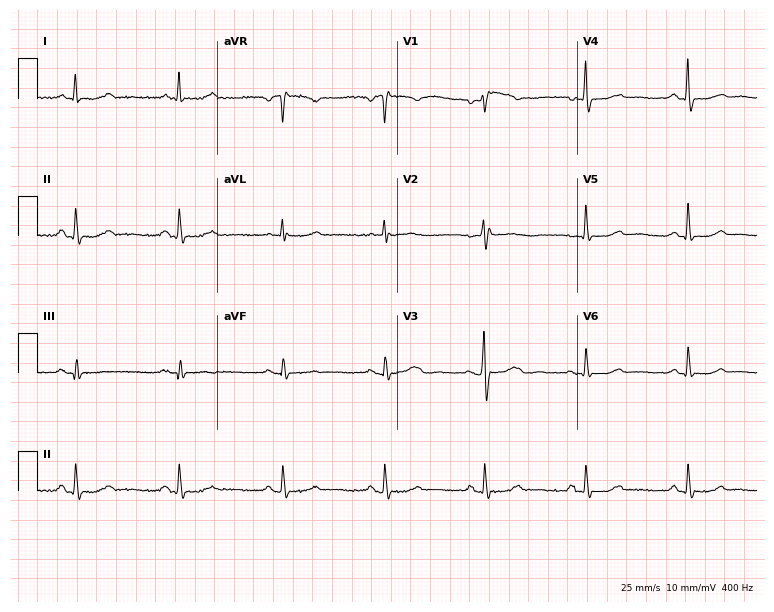
12-lead ECG from a female, 68 years old. Screened for six findings — first-degree AV block, right bundle branch block, left bundle branch block, sinus bradycardia, atrial fibrillation, sinus tachycardia — none is recorded. Findings outside these six are not listed.